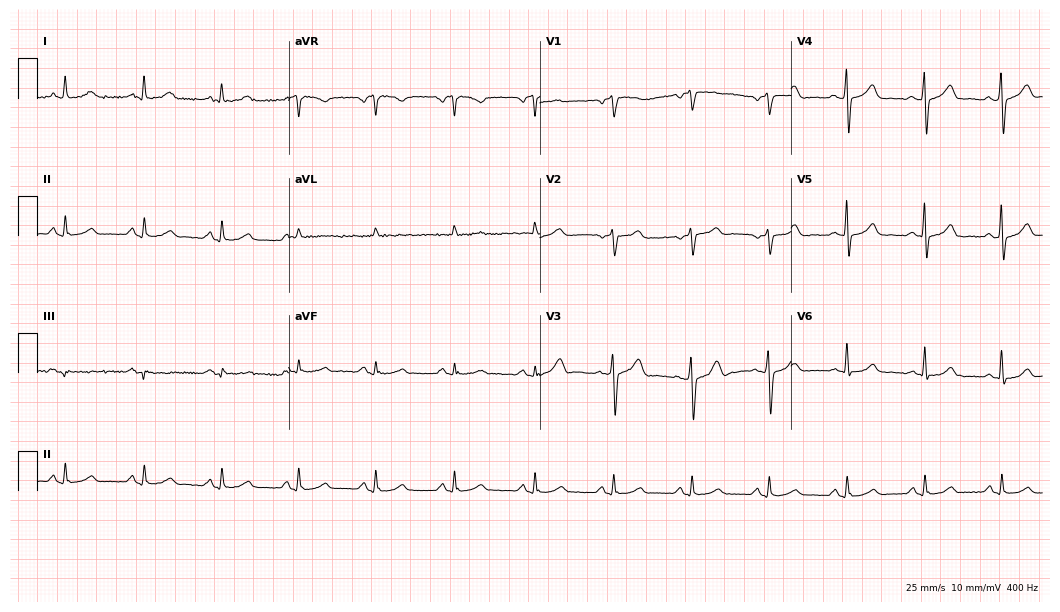
Electrocardiogram (10.2-second recording at 400 Hz), a male, 51 years old. Overall reading on record: normal ECG.